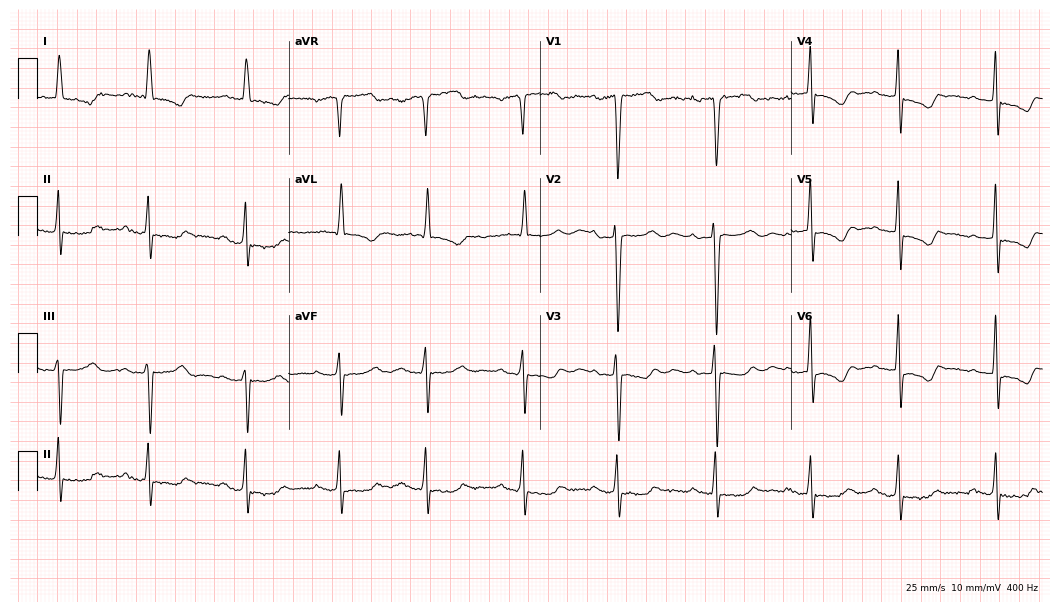
12-lead ECG from an 82-year-old female patient. Screened for six findings — first-degree AV block, right bundle branch block, left bundle branch block, sinus bradycardia, atrial fibrillation, sinus tachycardia — none is recorded. Findings outside these six are not listed.